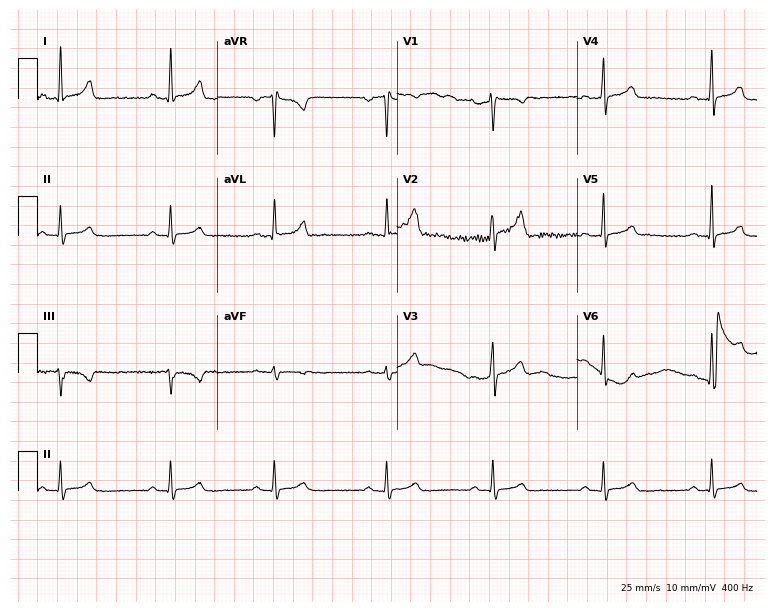
ECG — a 30-year-old man. Screened for six findings — first-degree AV block, right bundle branch block (RBBB), left bundle branch block (LBBB), sinus bradycardia, atrial fibrillation (AF), sinus tachycardia — none is recorded.